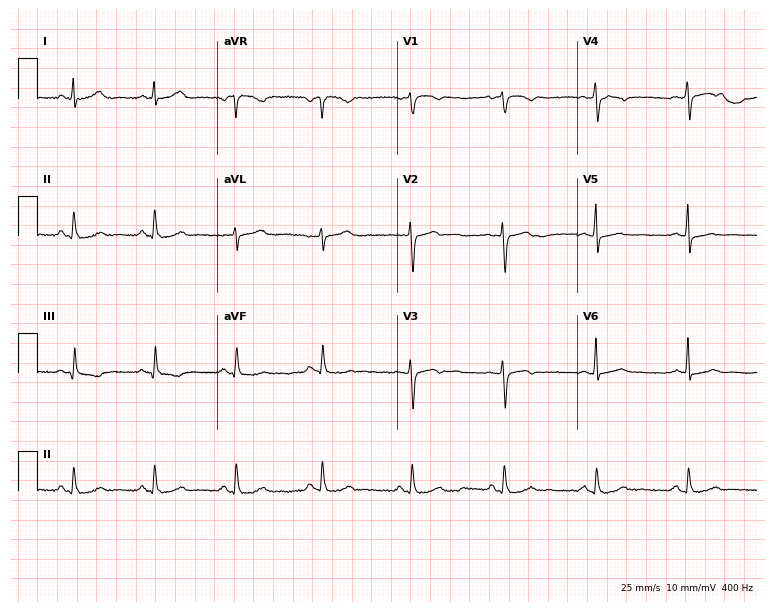
Standard 12-lead ECG recorded from a woman, 56 years old (7.3-second recording at 400 Hz). Read as a normal ECG.